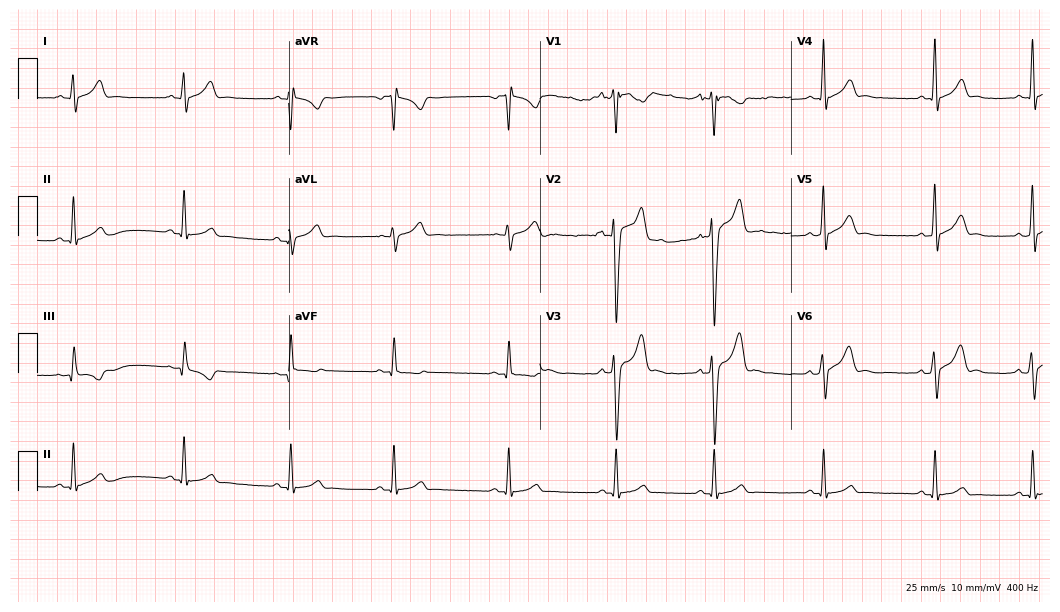
ECG (10.2-second recording at 400 Hz) — a 26-year-old male patient. Screened for six findings — first-degree AV block, right bundle branch block, left bundle branch block, sinus bradycardia, atrial fibrillation, sinus tachycardia — none is recorded.